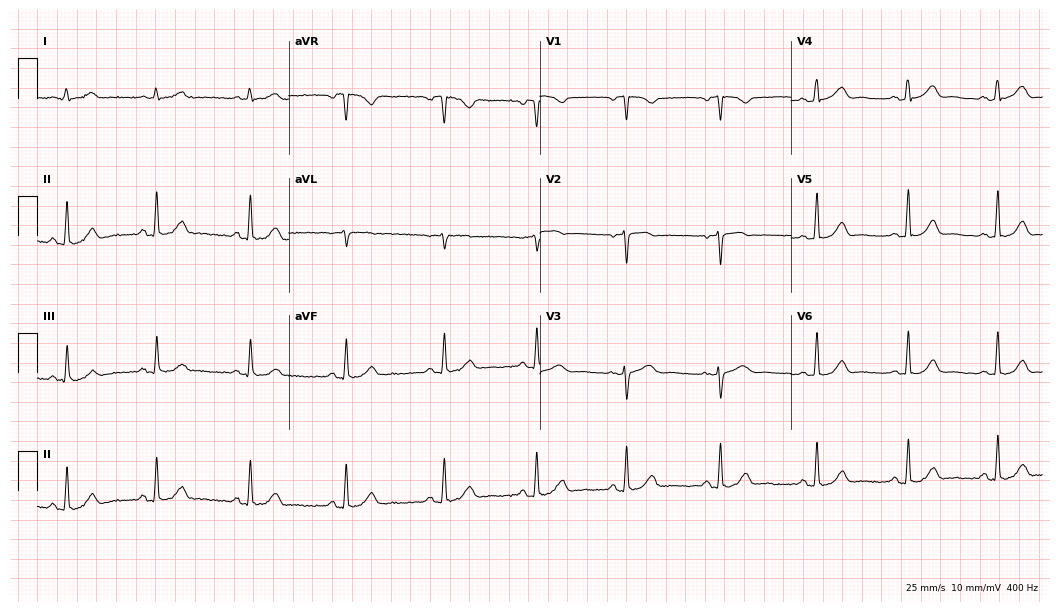
12-lead ECG from a female patient, 36 years old (10.2-second recording at 400 Hz). Recorded interpretation: within normal limits.